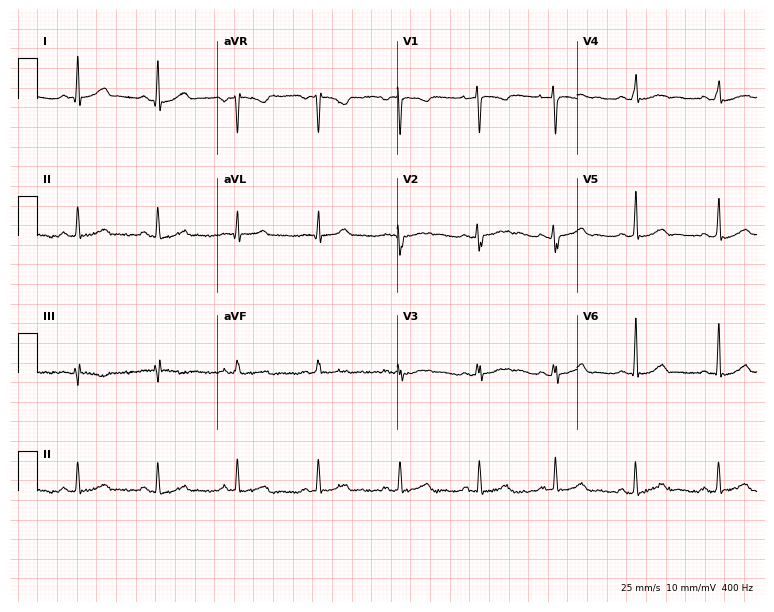
Resting 12-lead electrocardiogram (7.3-second recording at 400 Hz). Patient: a 22-year-old female. Read as a normal ECG.